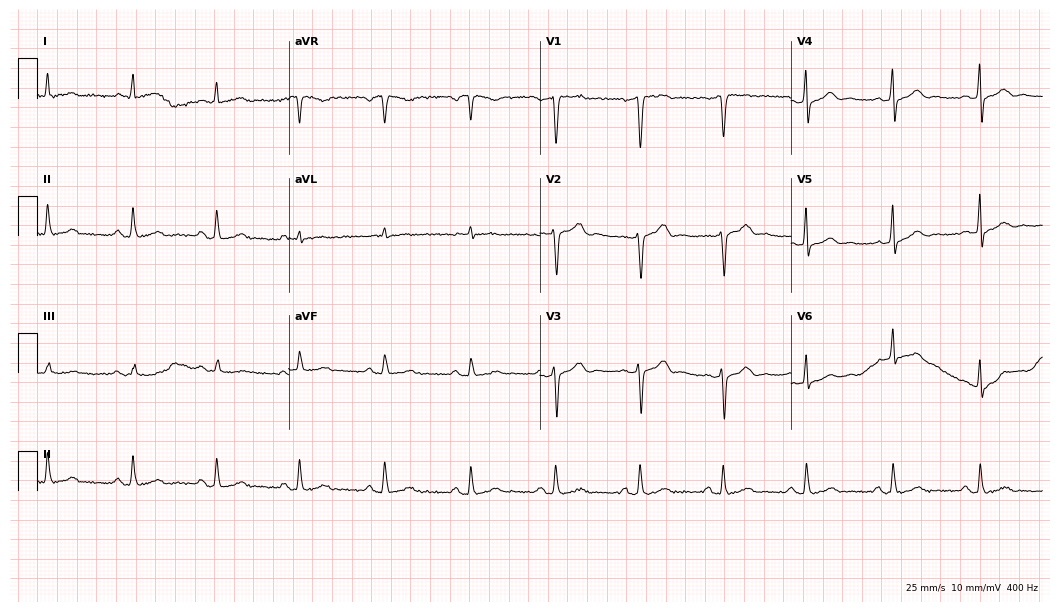
12-lead ECG (10.2-second recording at 400 Hz) from a male, 52 years old. Labelled as a normal ECG.